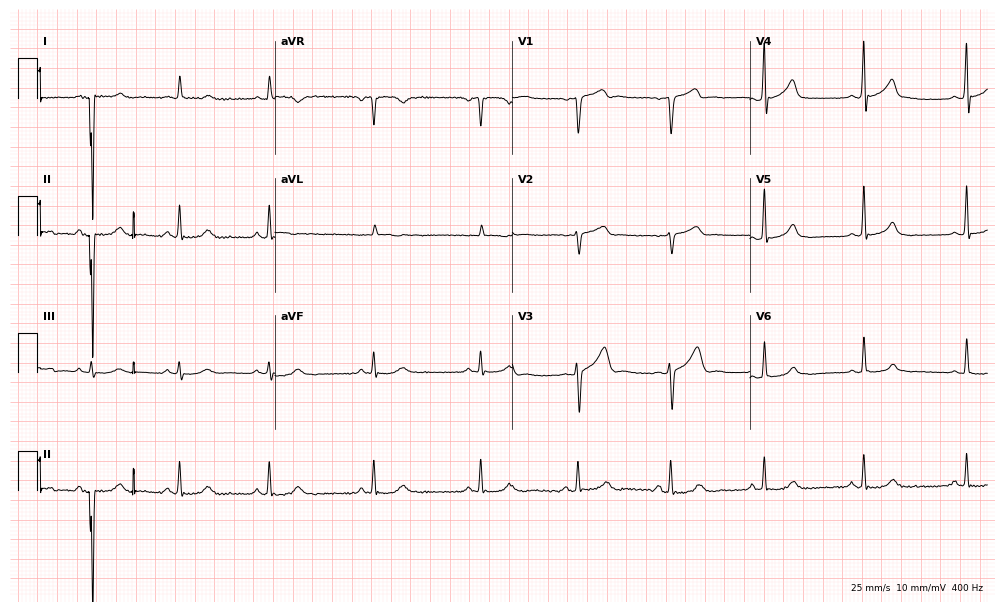
Standard 12-lead ECG recorded from a man, 30 years old (9.7-second recording at 400 Hz). Read as a normal ECG.